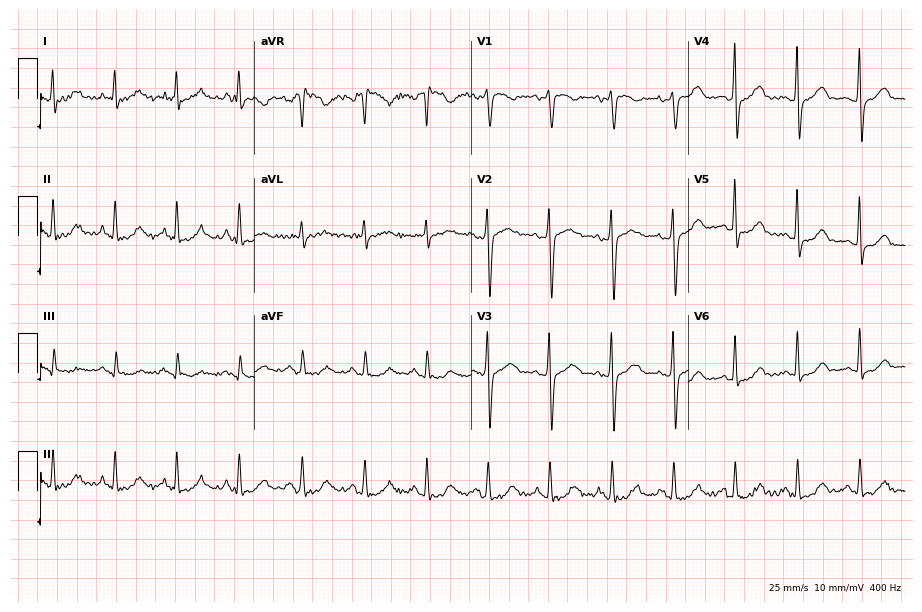
12-lead ECG from a 58-year-old female patient. Recorded interpretation: within normal limits.